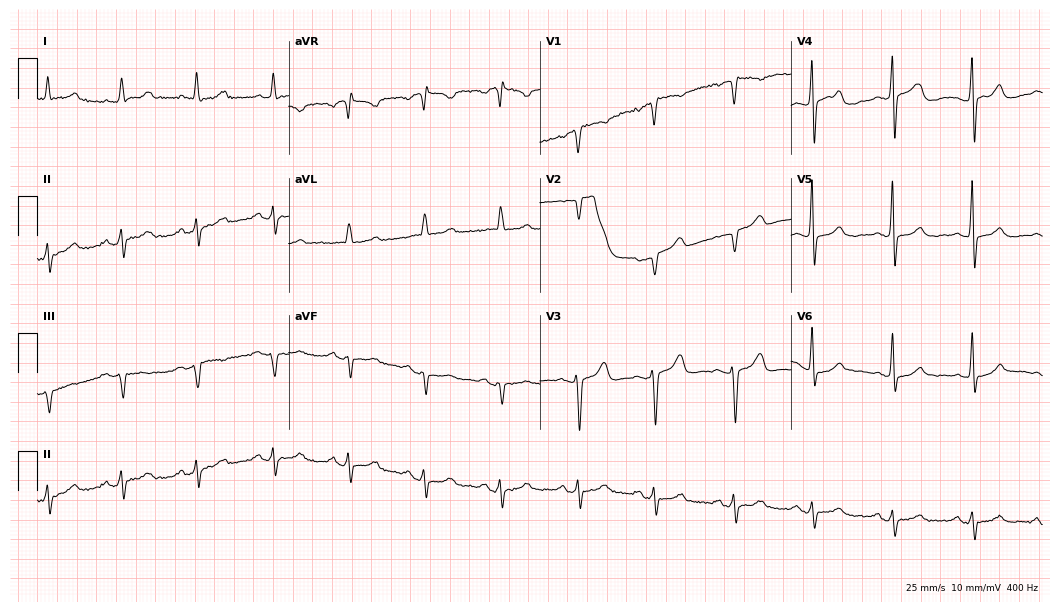
ECG (10.2-second recording at 400 Hz) — a 77-year-old female patient. Screened for six findings — first-degree AV block, right bundle branch block, left bundle branch block, sinus bradycardia, atrial fibrillation, sinus tachycardia — none is recorded. Other findings, if any, are not listed.